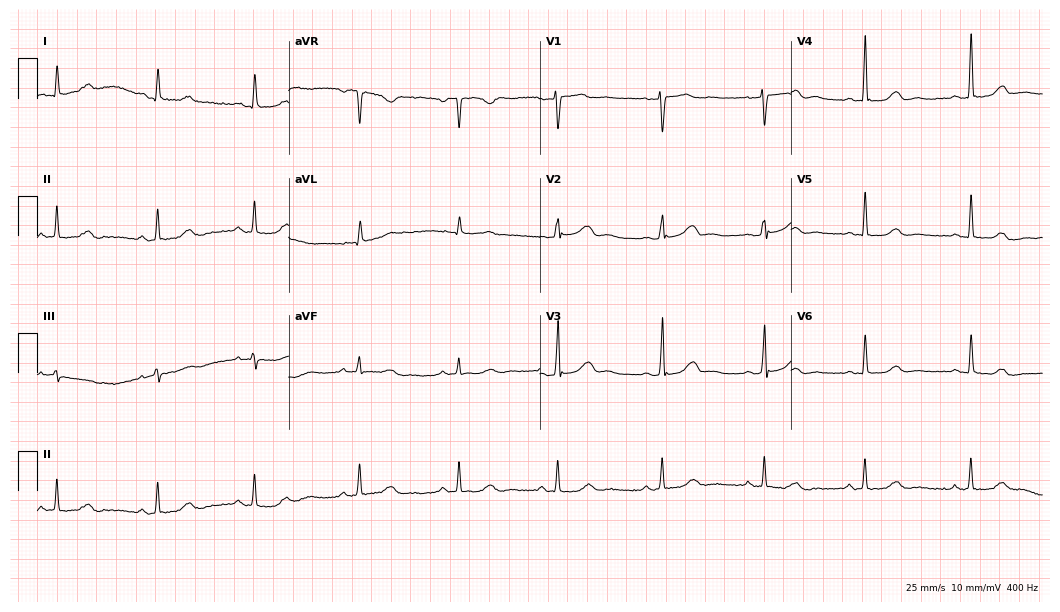
Standard 12-lead ECG recorded from a 42-year-old female. Read as a normal ECG.